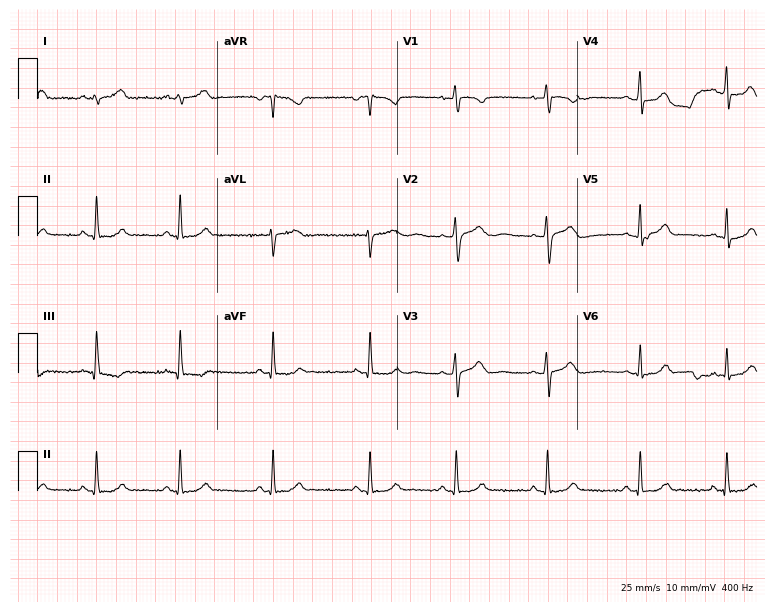
Resting 12-lead electrocardiogram (7.3-second recording at 400 Hz). Patient: a female, 19 years old. Read as a normal ECG.